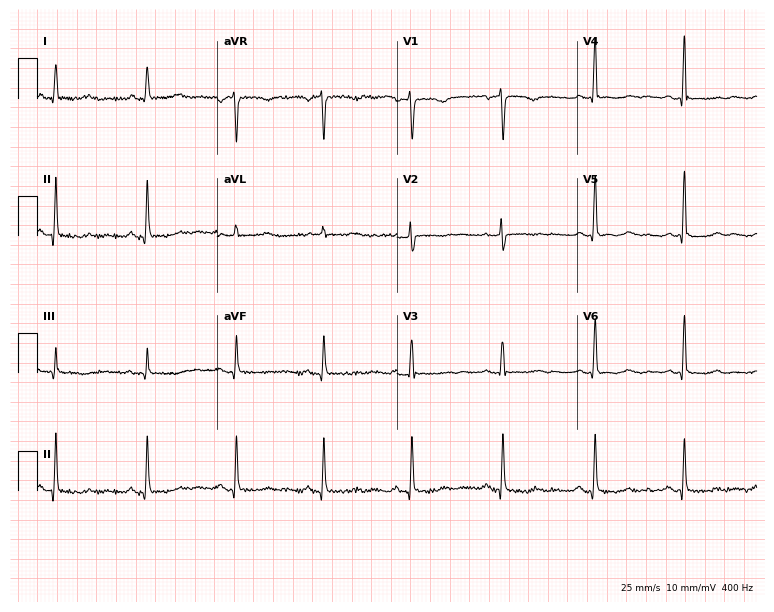
12-lead ECG from a 63-year-old female patient. Screened for six findings — first-degree AV block, right bundle branch block, left bundle branch block, sinus bradycardia, atrial fibrillation, sinus tachycardia — none is recorded. Other findings, if any, are not listed.